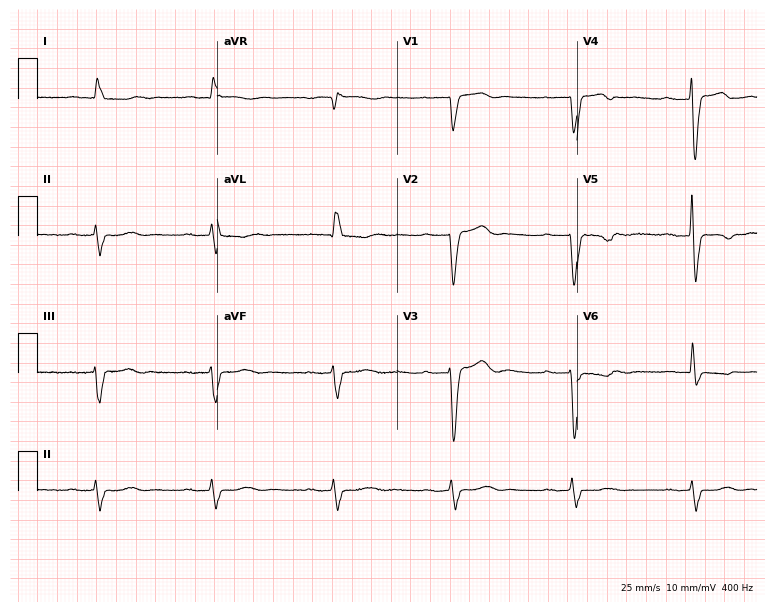
Standard 12-lead ECG recorded from a male, 79 years old (7.3-second recording at 400 Hz). None of these six findings is recorded: first-degree AV block, right bundle branch block (RBBB), left bundle branch block (LBBB), sinus bradycardia, atrial fibrillation (AF), sinus tachycardia. Findings outside these six are not listed.